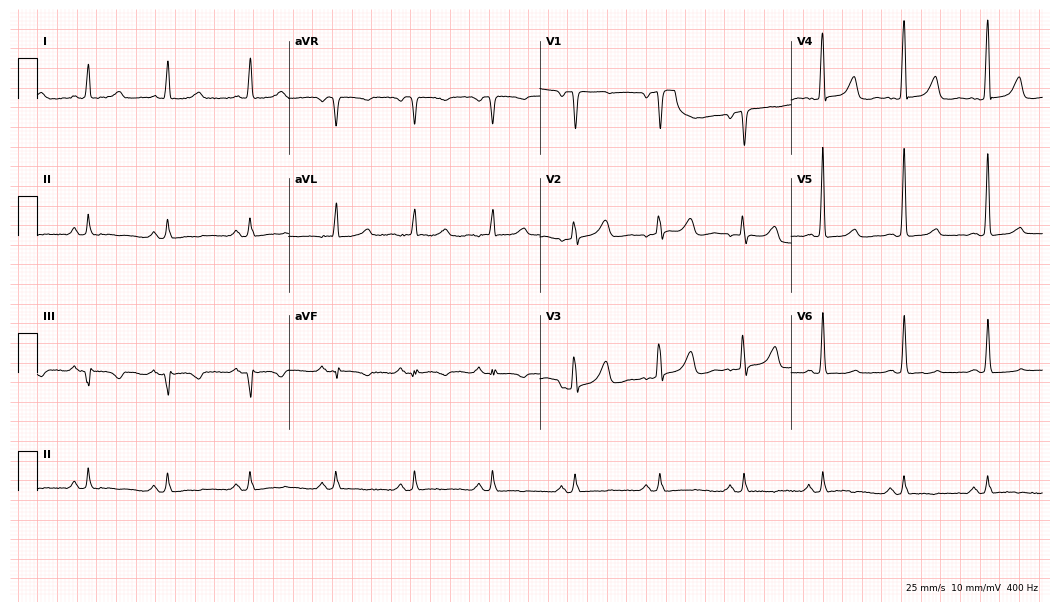
ECG (10.2-second recording at 400 Hz) — a 48-year-old female patient. Screened for six findings — first-degree AV block, right bundle branch block (RBBB), left bundle branch block (LBBB), sinus bradycardia, atrial fibrillation (AF), sinus tachycardia — none is recorded.